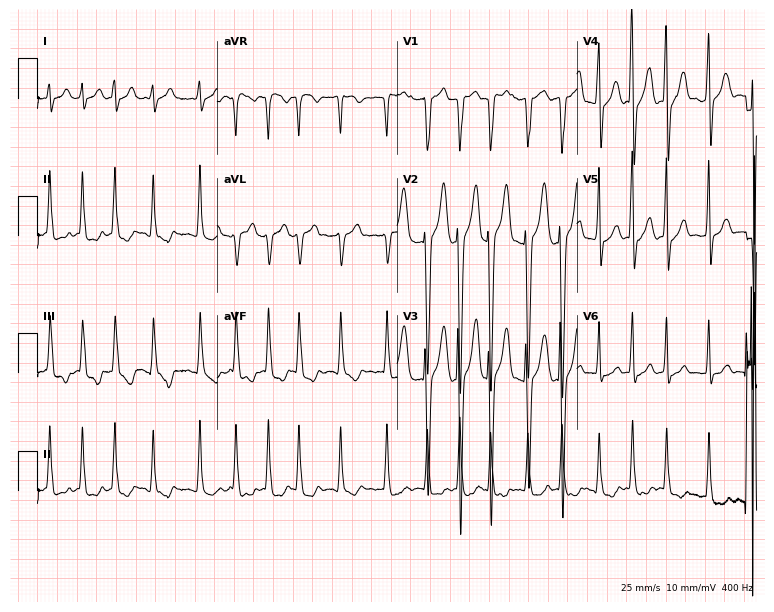
12-lead ECG from a male, 38 years old. Shows atrial fibrillation.